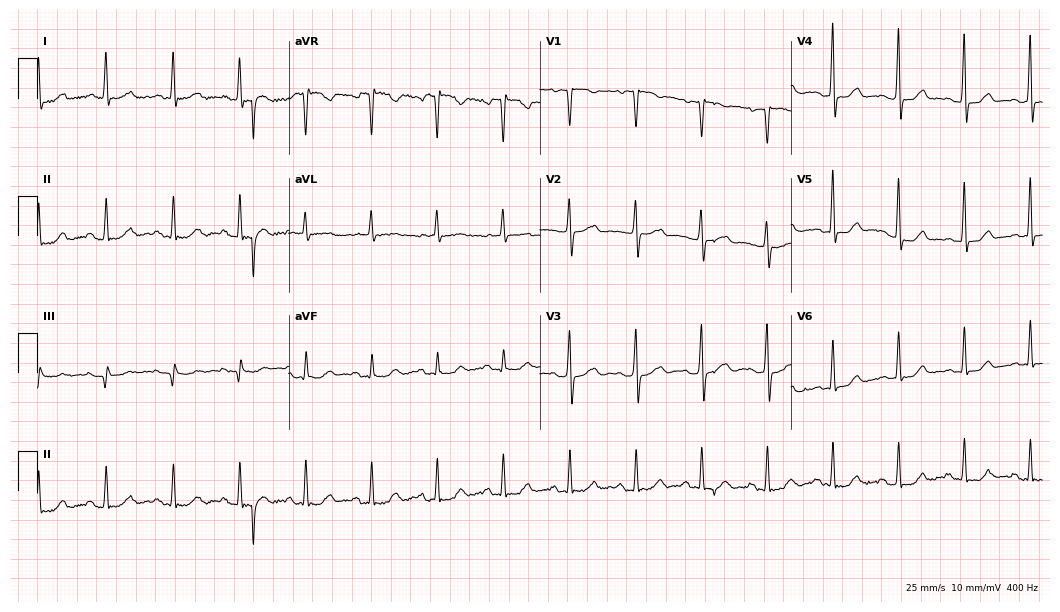
Resting 12-lead electrocardiogram. Patient: a female, 49 years old. Read as a normal ECG.